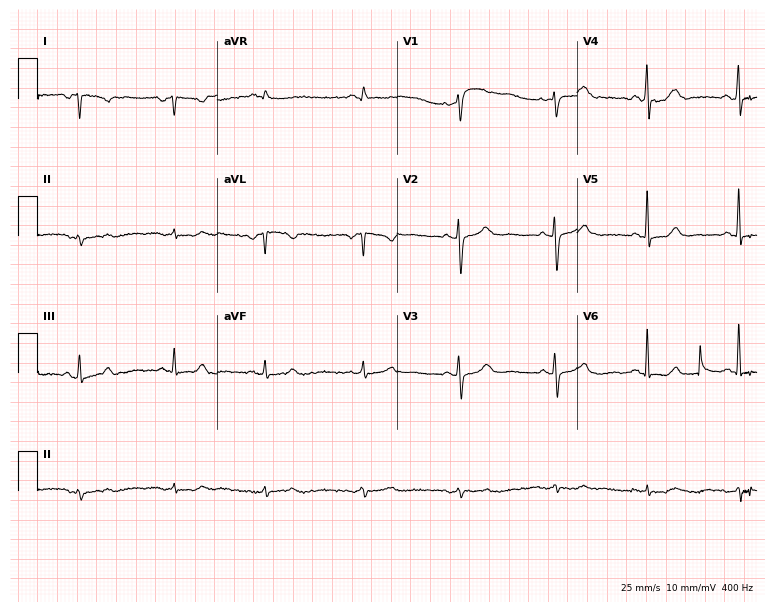
ECG — a female patient, 48 years old. Screened for six findings — first-degree AV block, right bundle branch block, left bundle branch block, sinus bradycardia, atrial fibrillation, sinus tachycardia — none is recorded.